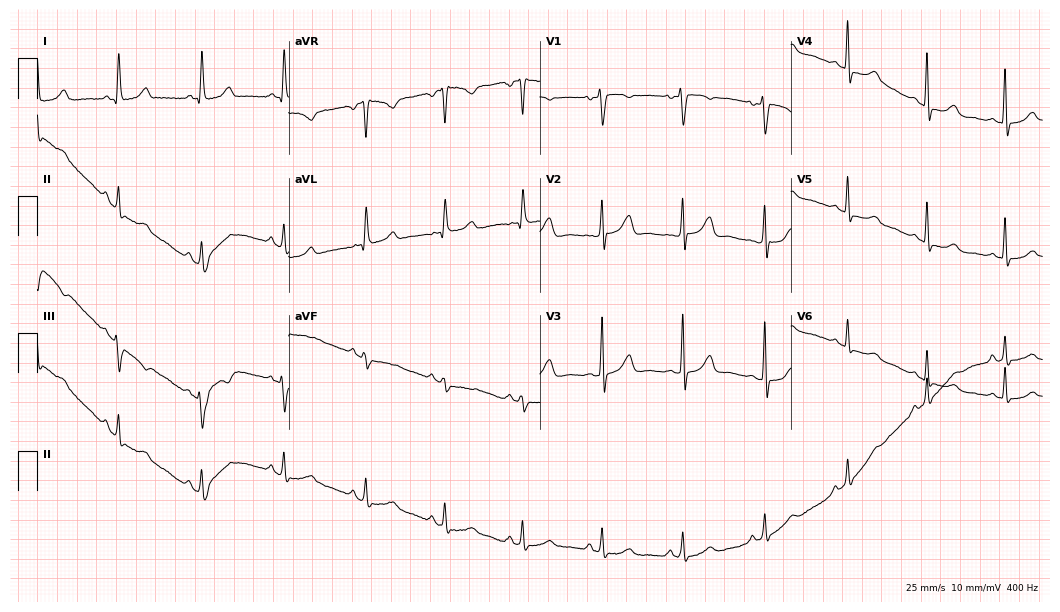
ECG (10.2-second recording at 400 Hz) — a 51-year-old female. Labelled as a normal ECG.